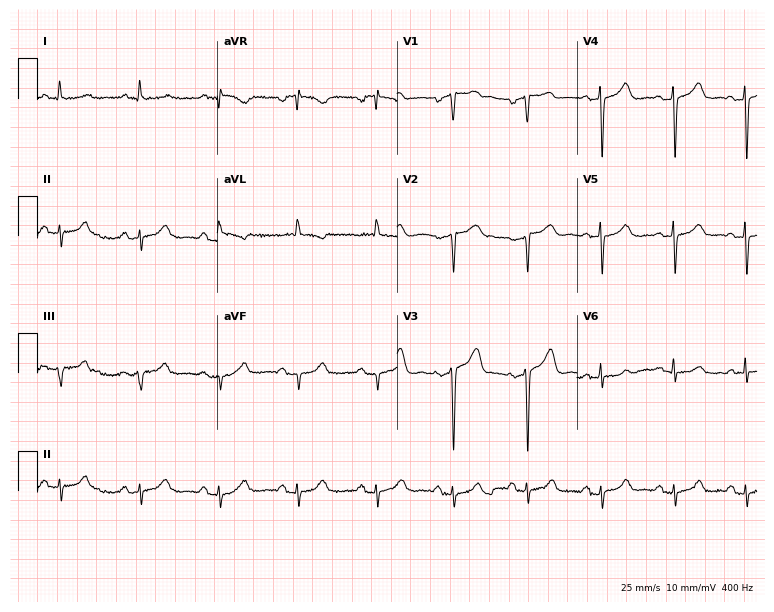
12-lead ECG from a 56-year-old woman. Screened for six findings — first-degree AV block, right bundle branch block (RBBB), left bundle branch block (LBBB), sinus bradycardia, atrial fibrillation (AF), sinus tachycardia — none is recorded.